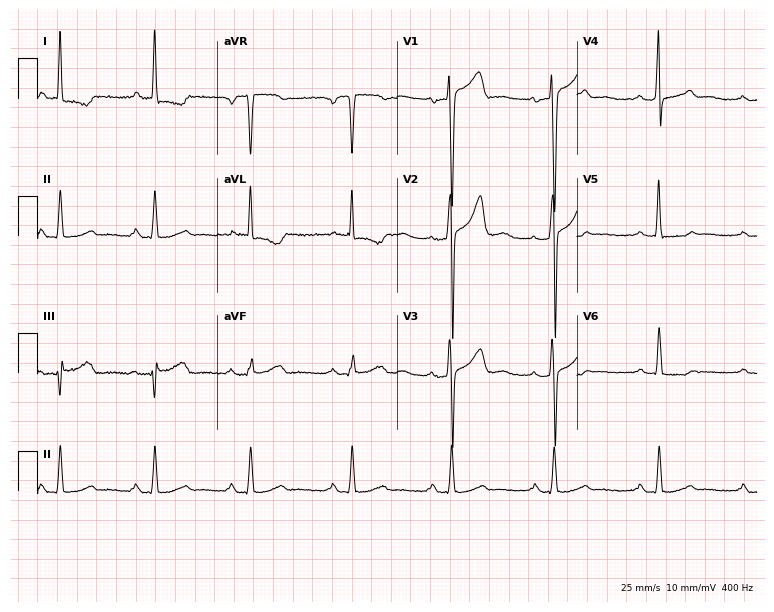
12-lead ECG (7.3-second recording at 400 Hz) from a 43-year-old male. Screened for six findings — first-degree AV block, right bundle branch block, left bundle branch block, sinus bradycardia, atrial fibrillation, sinus tachycardia — none is recorded.